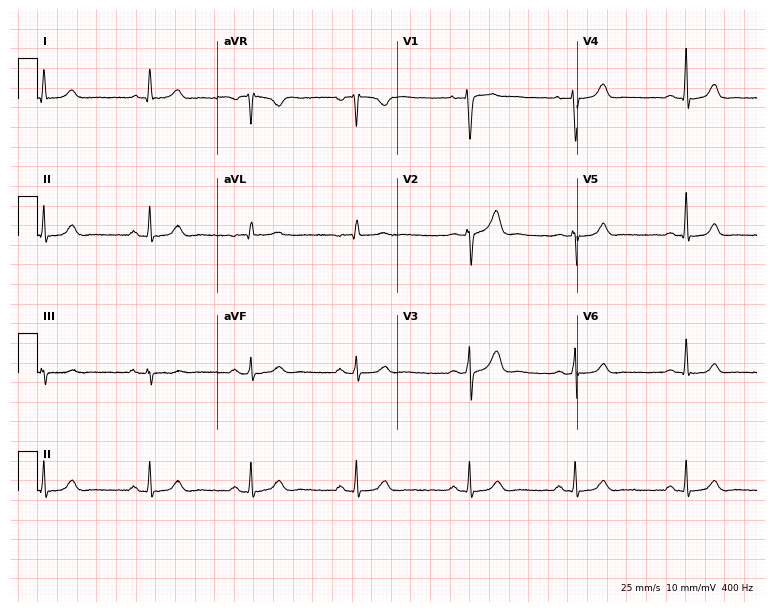
ECG (7.3-second recording at 400 Hz) — a female patient, 37 years old. Labelled as a normal ECG.